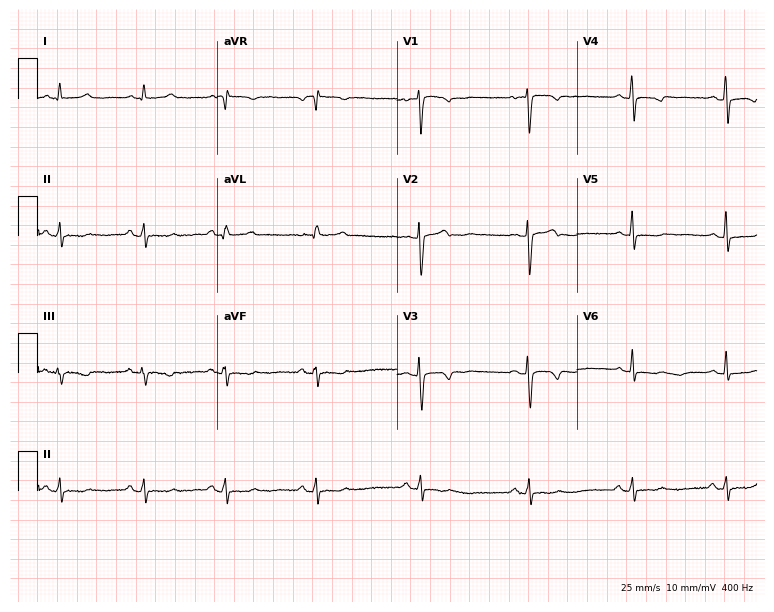
Electrocardiogram (7.3-second recording at 400 Hz), a 50-year-old female. Overall reading on record: normal ECG.